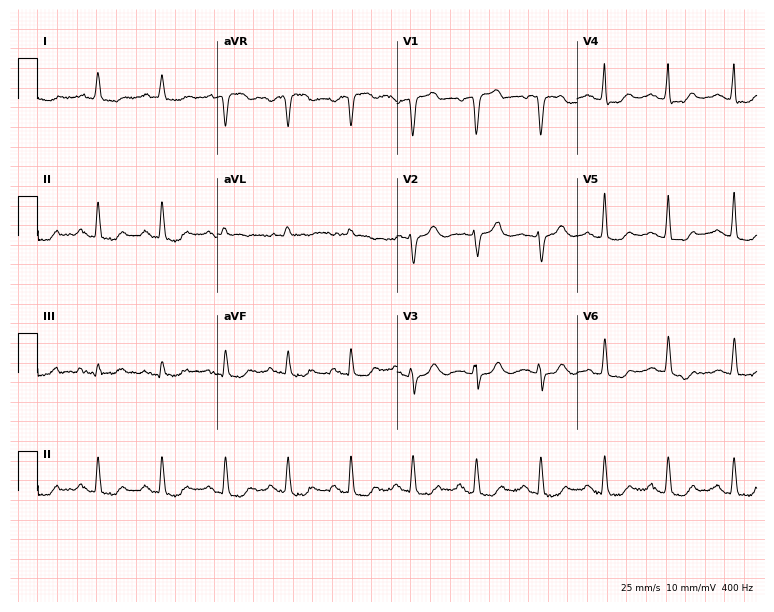
Resting 12-lead electrocardiogram (7.3-second recording at 400 Hz). Patient: a woman, 85 years old. None of these six findings is recorded: first-degree AV block, right bundle branch block (RBBB), left bundle branch block (LBBB), sinus bradycardia, atrial fibrillation (AF), sinus tachycardia.